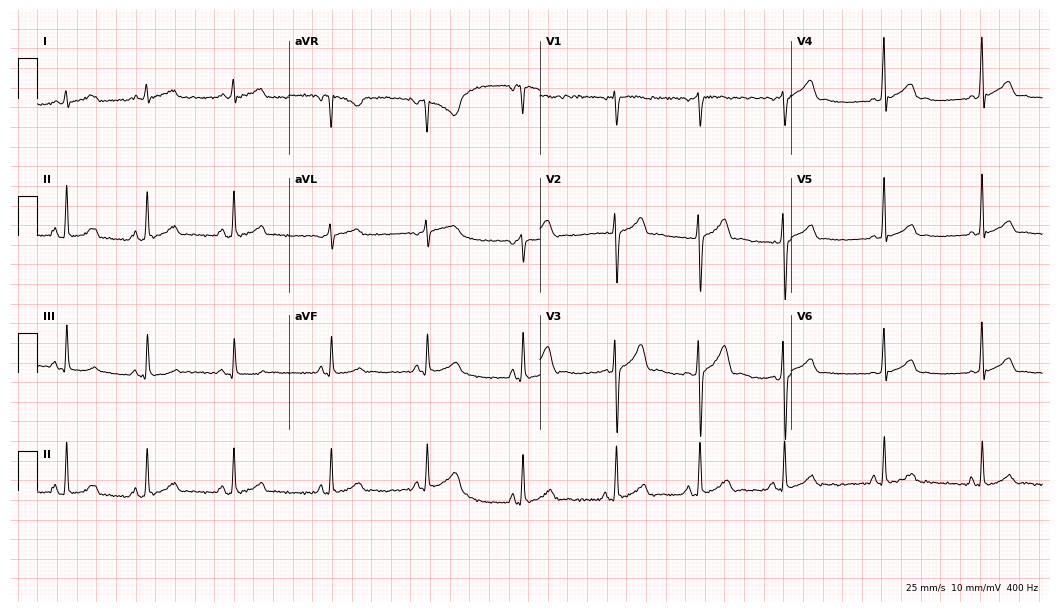
12-lead ECG from a 29-year-old male. Recorded interpretation: within normal limits.